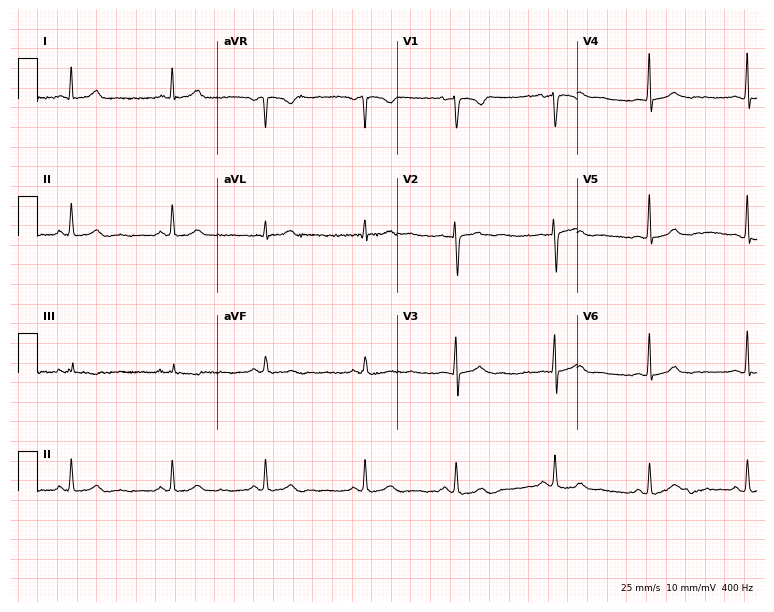
ECG (7.3-second recording at 400 Hz) — a 27-year-old female. Screened for six findings — first-degree AV block, right bundle branch block (RBBB), left bundle branch block (LBBB), sinus bradycardia, atrial fibrillation (AF), sinus tachycardia — none is recorded. Other findings, if any, are not listed.